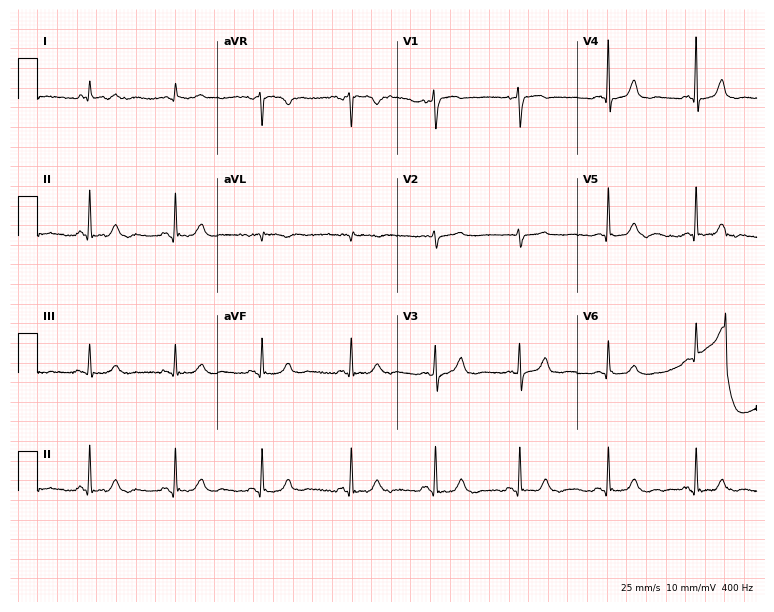
12-lead ECG from a male, 67 years old. Screened for six findings — first-degree AV block, right bundle branch block (RBBB), left bundle branch block (LBBB), sinus bradycardia, atrial fibrillation (AF), sinus tachycardia — none is recorded. Only these six findings were labelled.